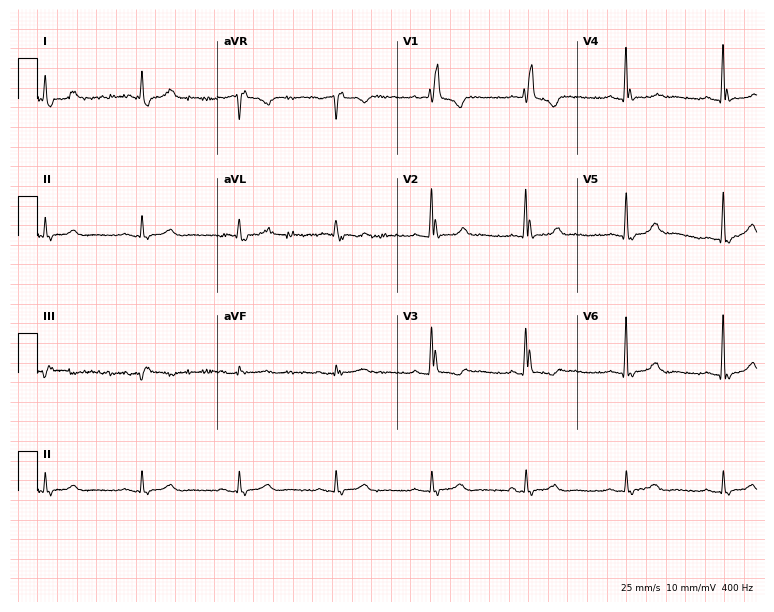
Resting 12-lead electrocardiogram (7.3-second recording at 400 Hz). Patient: a 62-year-old female. The tracing shows right bundle branch block.